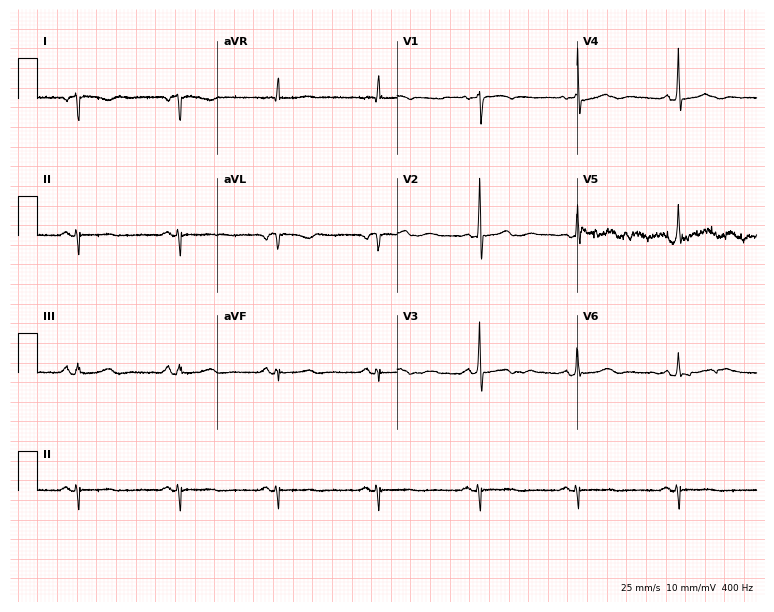
12-lead ECG from a male patient, 65 years old. Screened for six findings — first-degree AV block, right bundle branch block, left bundle branch block, sinus bradycardia, atrial fibrillation, sinus tachycardia — none is recorded. Other findings, if any, are not listed.